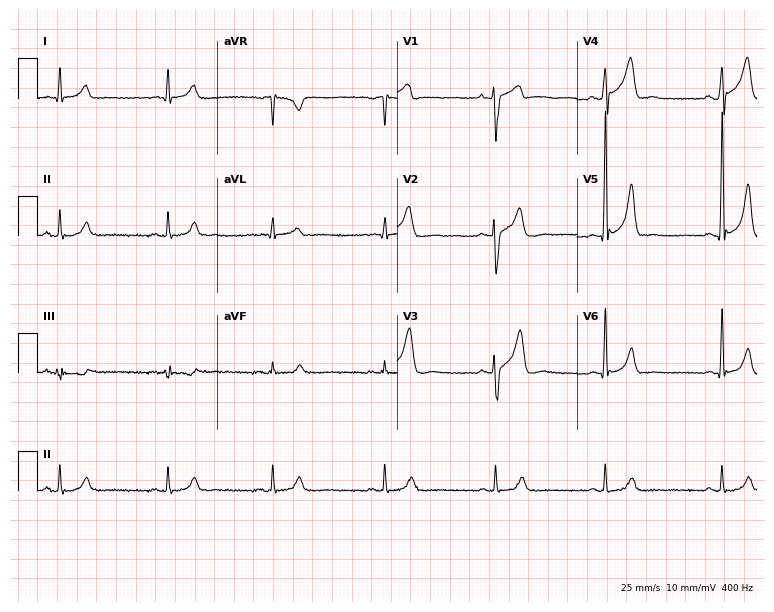
Electrocardiogram, a man, 23 years old. Overall reading on record: normal ECG.